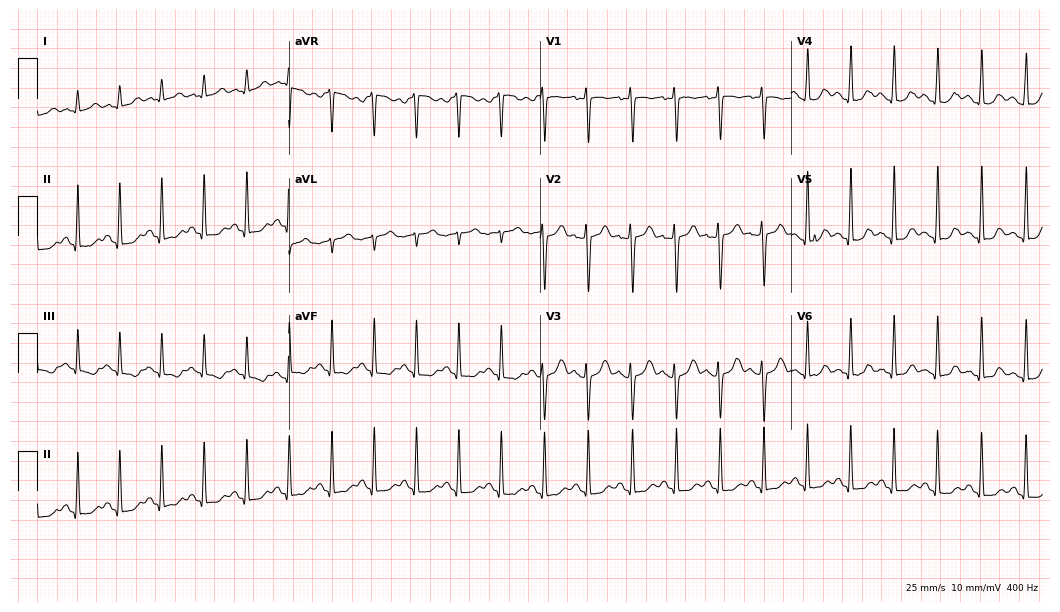
12-lead ECG (10.2-second recording at 400 Hz) from a female patient, 31 years old. Findings include sinus tachycardia (a sinus rate of 100 beats per minute or more).